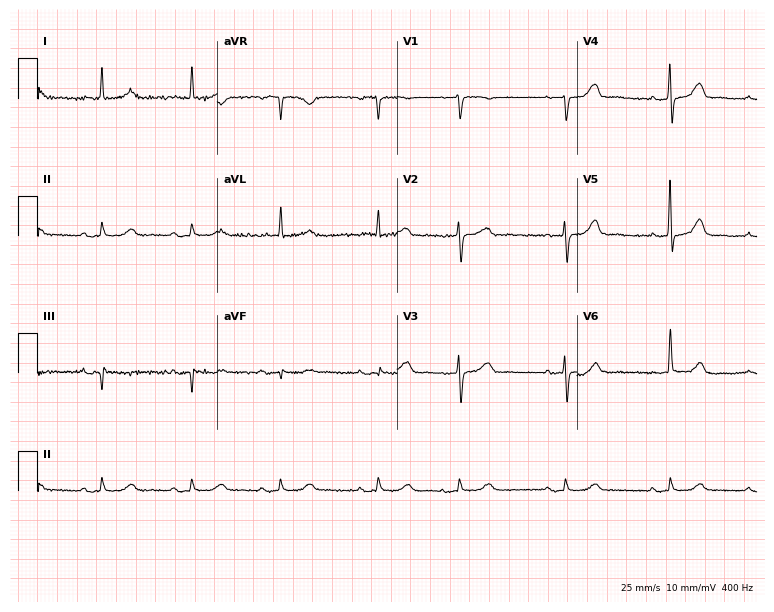
Standard 12-lead ECG recorded from an 85-year-old woman. Read as a normal ECG.